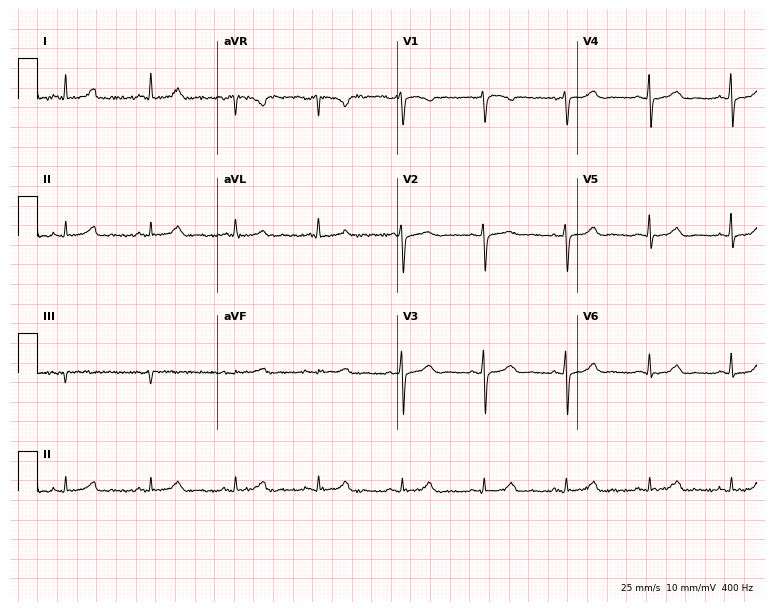
Resting 12-lead electrocardiogram. Patient: a woman, 61 years old. Read as a normal ECG.